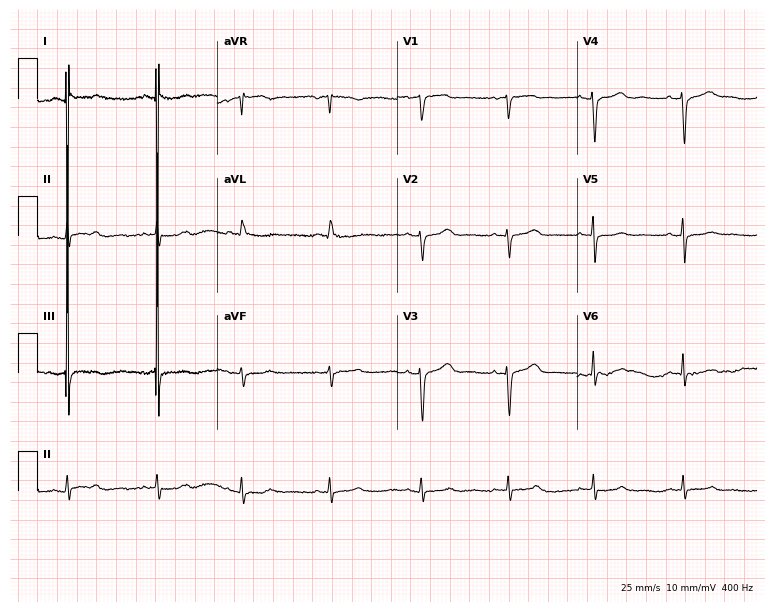
ECG — a woman, 51 years old. Screened for six findings — first-degree AV block, right bundle branch block, left bundle branch block, sinus bradycardia, atrial fibrillation, sinus tachycardia — none is recorded.